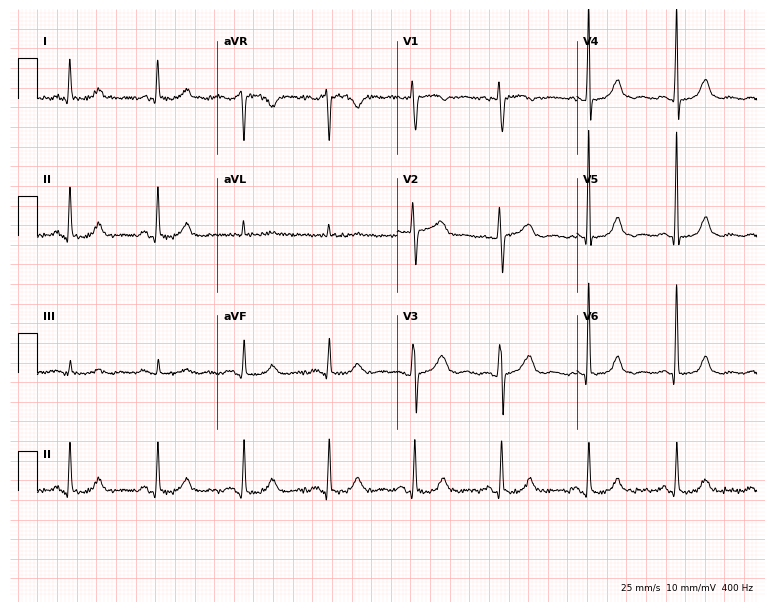
Standard 12-lead ECG recorded from a 68-year-old female (7.3-second recording at 400 Hz). None of these six findings is recorded: first-degree AV block, right bundle branch block, left bundle branch block, sinus bradycardia, atrial fibrillation, sinus tachycardia.